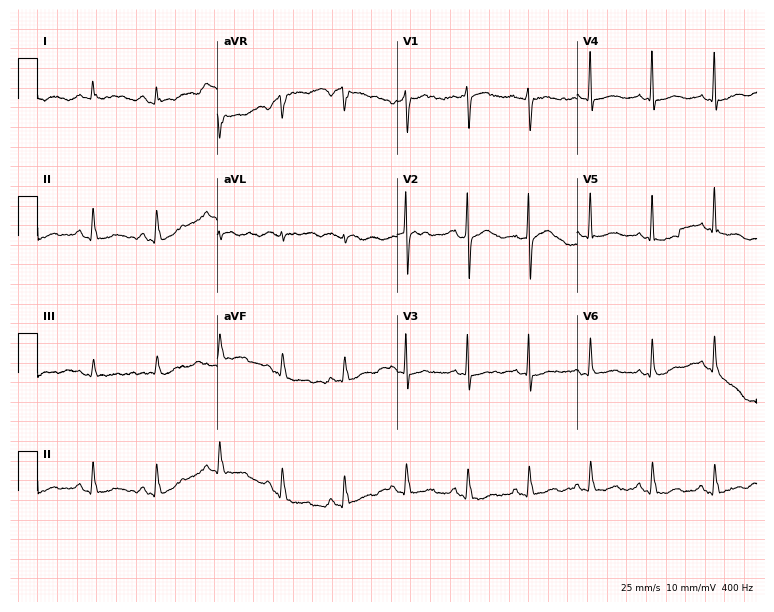
Resting 12-lead electrocardiogram (7.3-second recording at 400 Hz). Patient: a female, 54 years old. Read as a normal ECG.